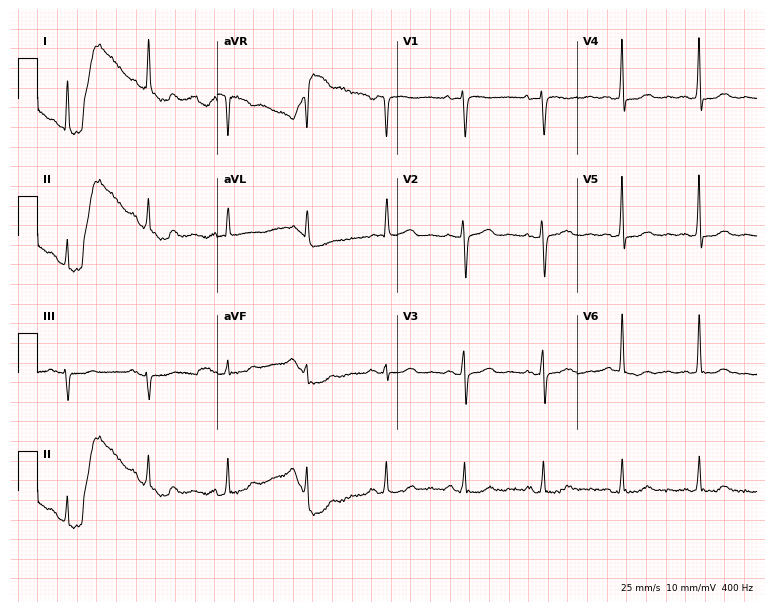
12-lead ECG from a 68-year-old woman. Recorded interpretation: within normal limits.